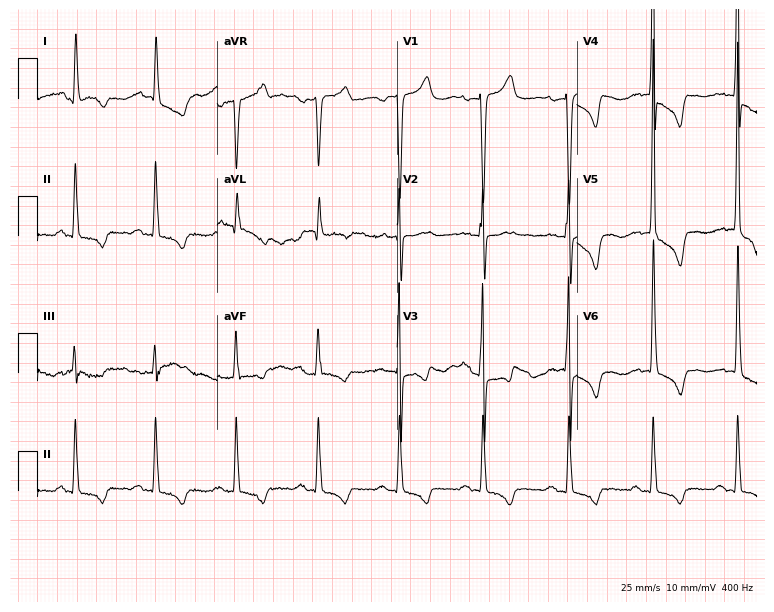
12-lead ECG (7.3-second recording at 400 Hz) from a woman, 84 years old. Screened for six findings — first-degree AV block, right bundle branch block, left bundle branch block, sinus bradycardia, atrial fibrillation, sinus tachycardia — none is recorded.